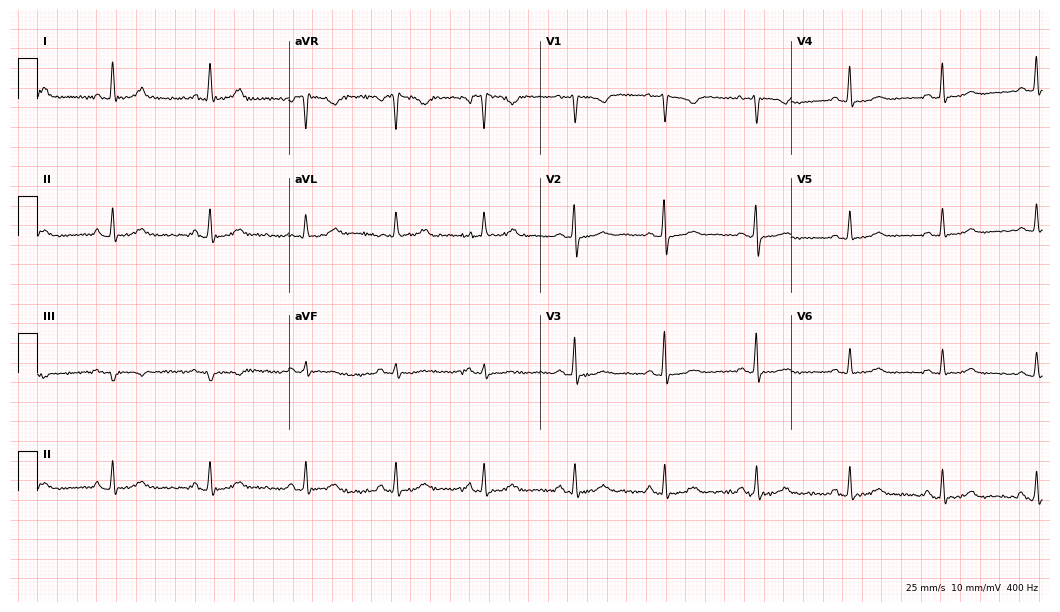
Standard 12-lead ECG recorded from a 70-year-old female. None of these six findings is recorded: first-degree AV block, right bundle branch block, left bundle branch block, sinus bradycardia, atrial fibrillation, sinus tachycardia.